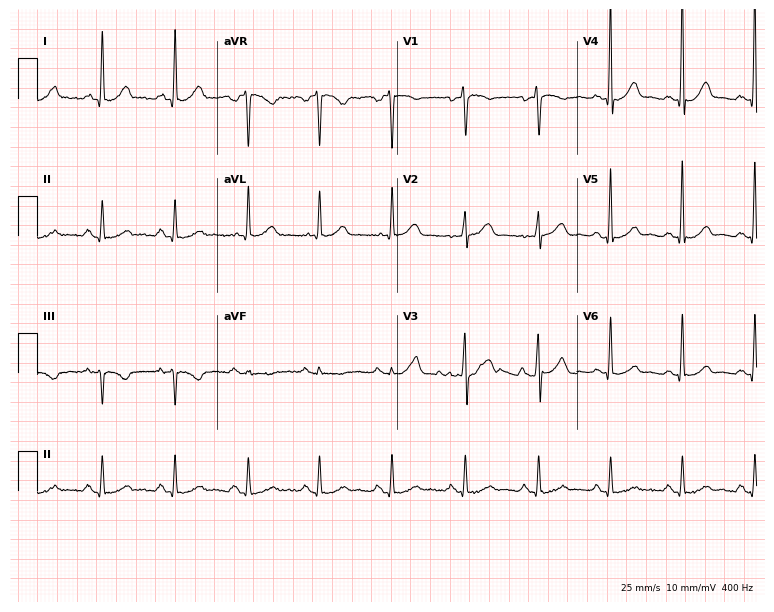
12-lead ECG from a 41-year-old woman (7.3-second recording at 400 Hz). Recorded interpretation: within normal limits.